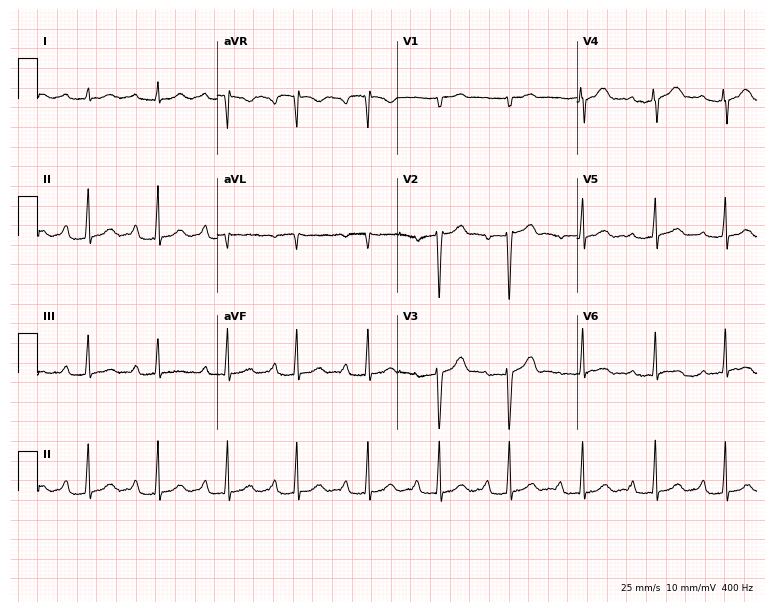
12-lead ECG from a female, 44 years old (7.3-second recording at 400 Hz). Shows first-degree AV block.